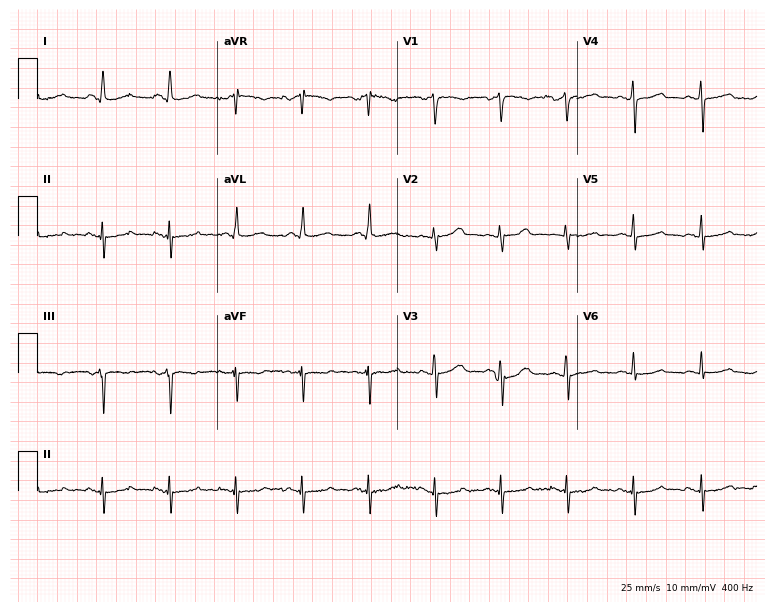
Standard 12-lead ECG recorded from a female patient, 75 years old (7.3-second recording at 400 Hz). None of these six findings is recorded: first-degree AV block, right bundle branch block, left bundle branch block, sinus bradycardia, atrial fibrillation, sinus tachycardia. Findings outside these six are not listed.